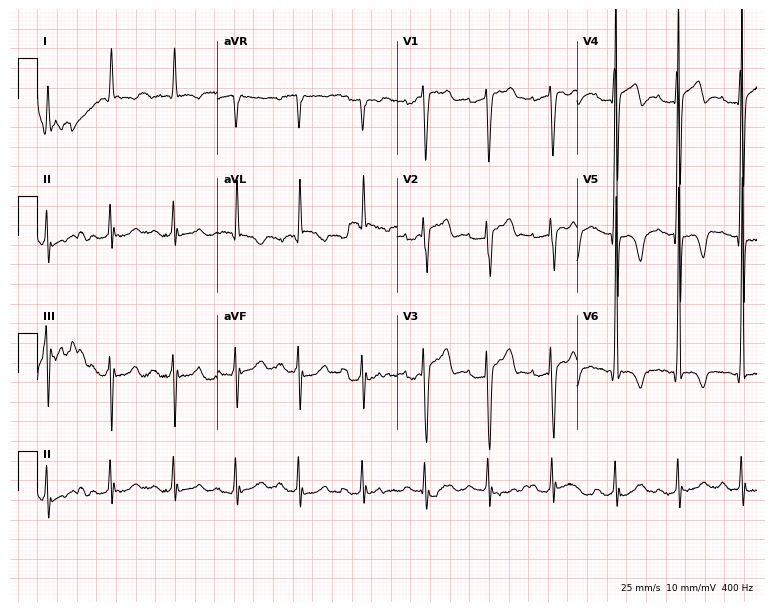
12-lead ECG from a 79-year-old male patient (7.3-second recording at 400 Hz). Recorded interpretation: within normal limits.